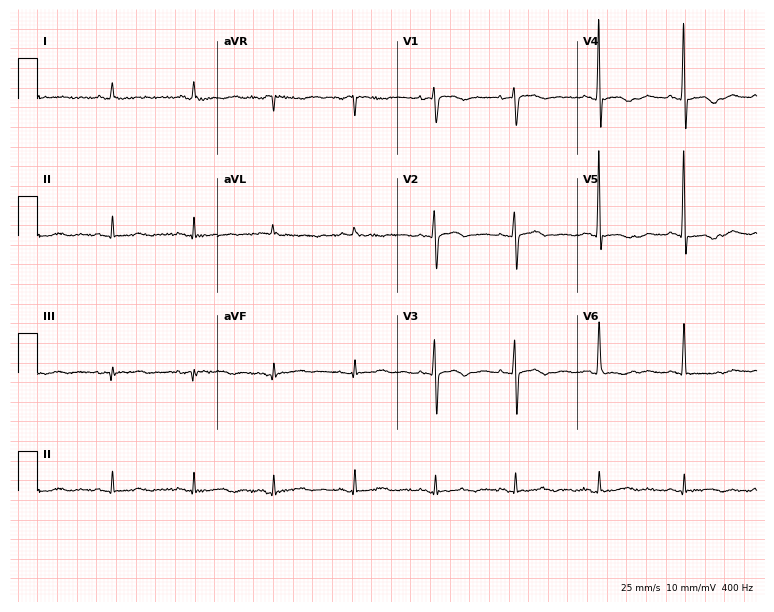
Electrocardiogram (7.3-second recording at 400 Hz), a female, 74 years old. Of the six screened findings (first-degree AV block, right bundle branch block, left bundle branch block, sinus bradycardia, atrial fibrillation, sinus tachycardia), none is recorded. Only these six findings were labelled.